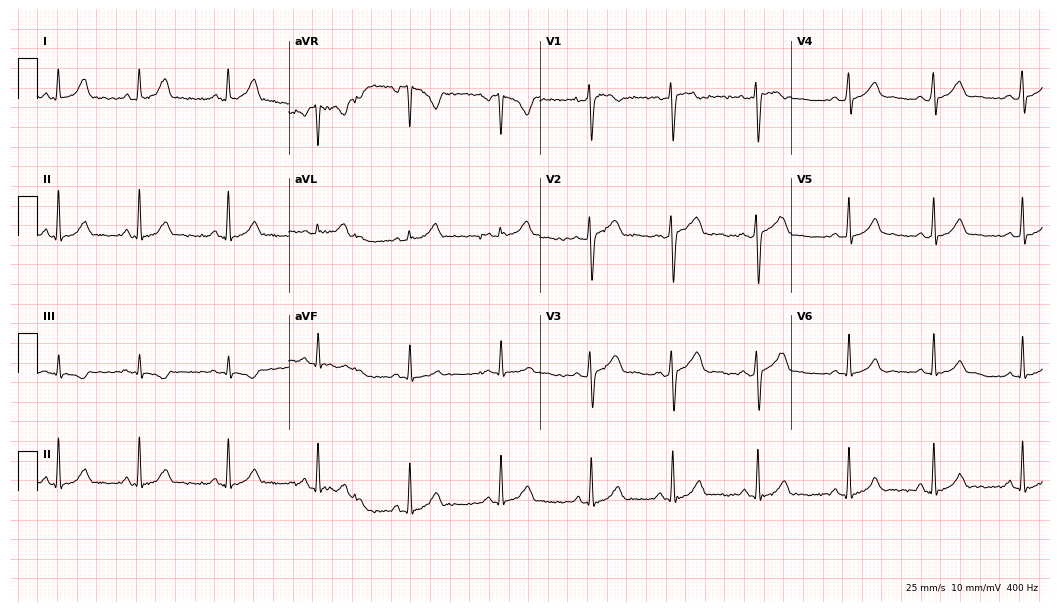
12-lead ECG from a 22-year-old female patient. Recorded interpretation: within normal limits.